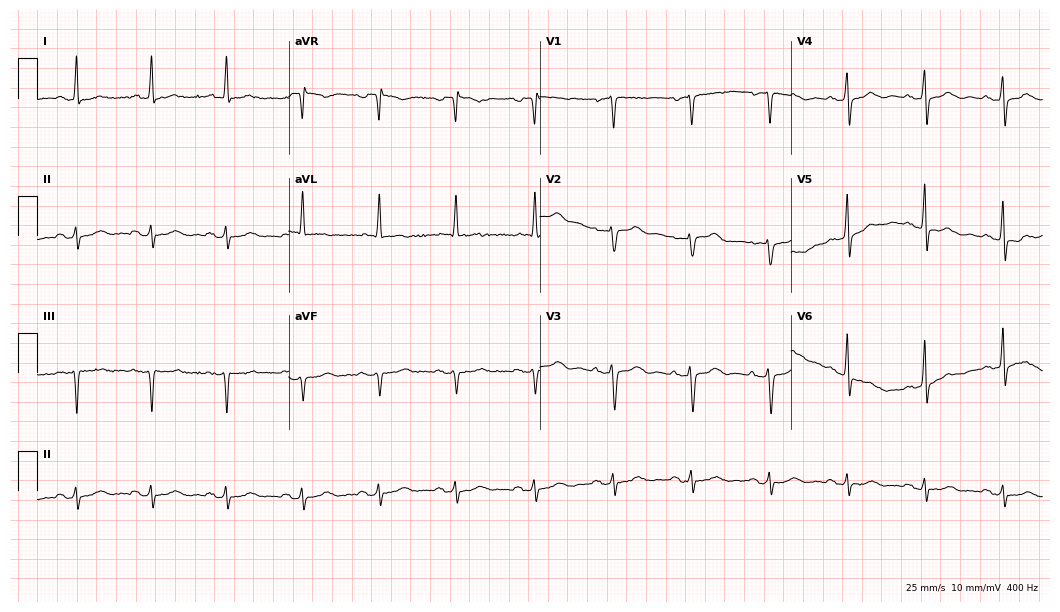
12-lead ECG from a 70-year-old female patient. No first-degree AV block, right bundle branch block (RBBB), left bundle branch block (LBBB), sinus bradycardia, atrial fibrillation (AF) or sinus tachycardia recorded for this tracing. Other findings, if any, are not listed.